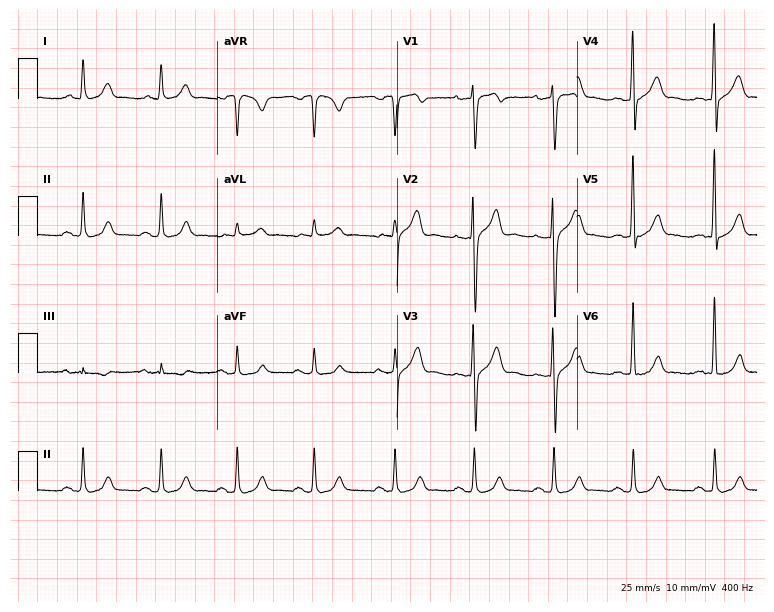
Electrocardiogram (7.3-second recording at 400 Hz), a man, 33 years old. Overall reading on record: normal ECG.